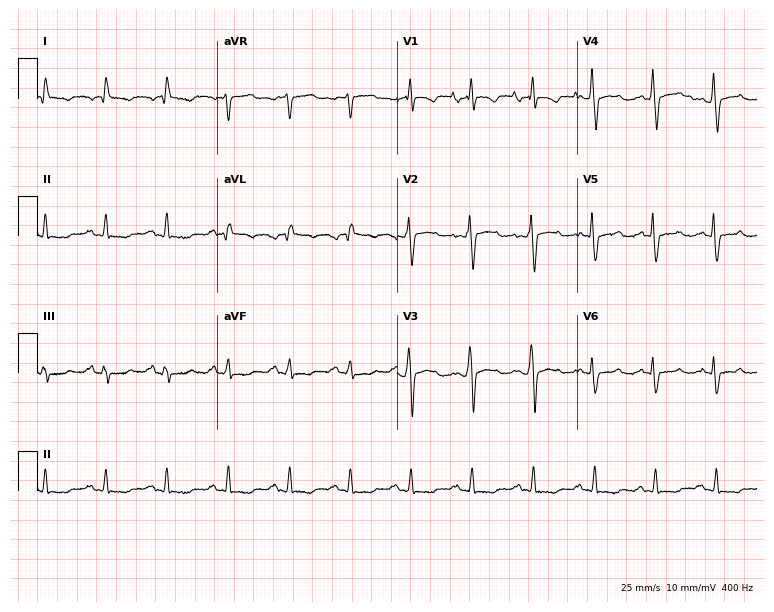
Standard 12-lead ECG recorded from a 68-year-old man. None of these six findings is recorded: first-degree AV block, right bundle branch block (RBBB), left bundle branch block (LBBB), sinus bradycardia, atrial fibrillation (AF), sinus tachycardia. Other findings, if any, are not listed.